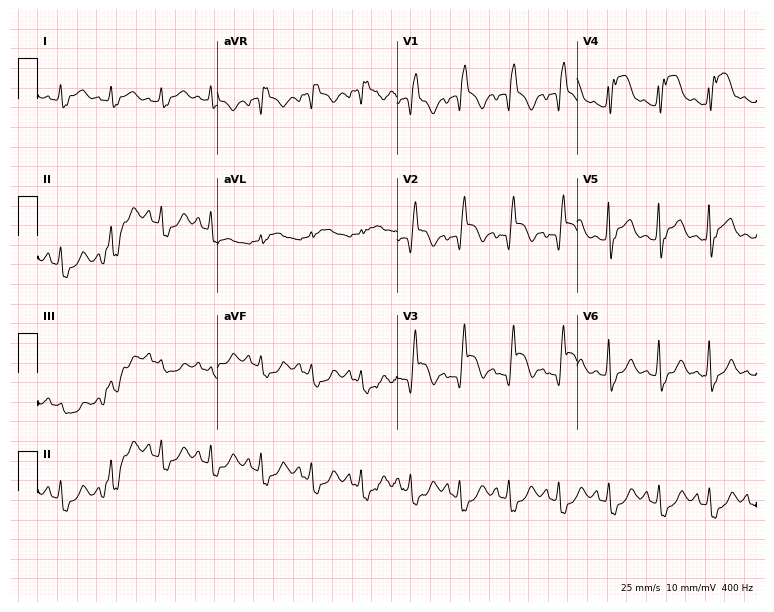
ECG — a male patient, 61 years old. Findings include right bundle branch block, sinus tachycardia (a sinus rate of 100 beats per minute or more).